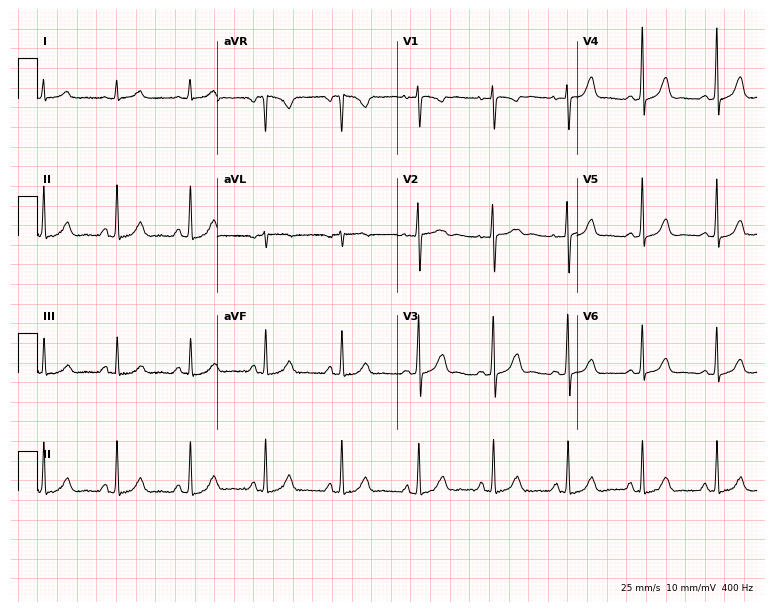
Standard 12-lead ECG recorded from a female patient, 41 years old. Read as a normal ECG.